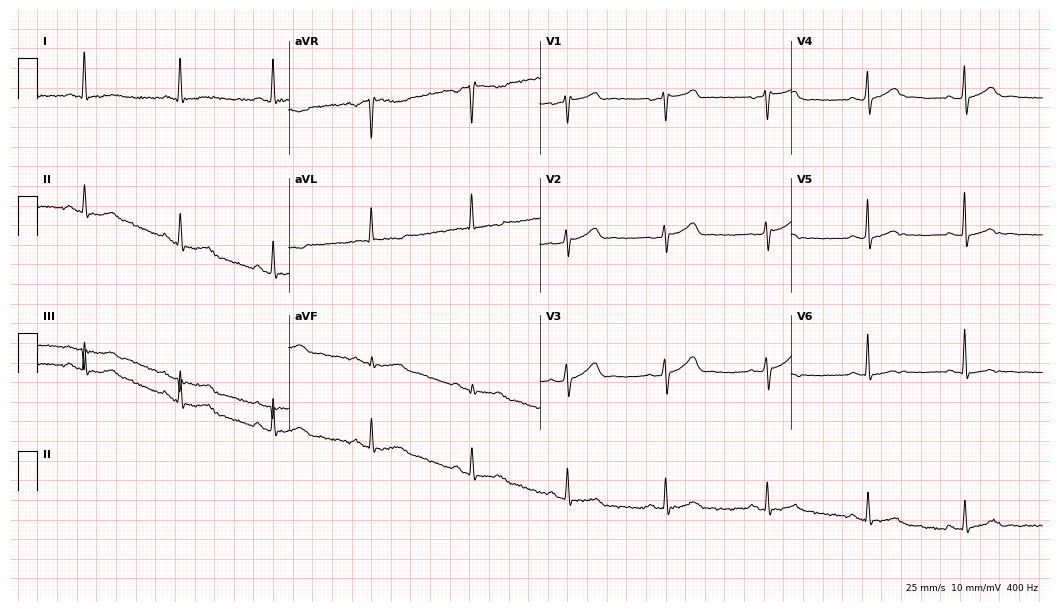
12-lead ECG from a 71-year-old man. Screened for six findings — first-degree AV block, right bundle branch block, left bundle branch block, sinus bradycardia, atrial fibrillation, sinus tachycardia — none is recorded. Only these six findings were labelled.